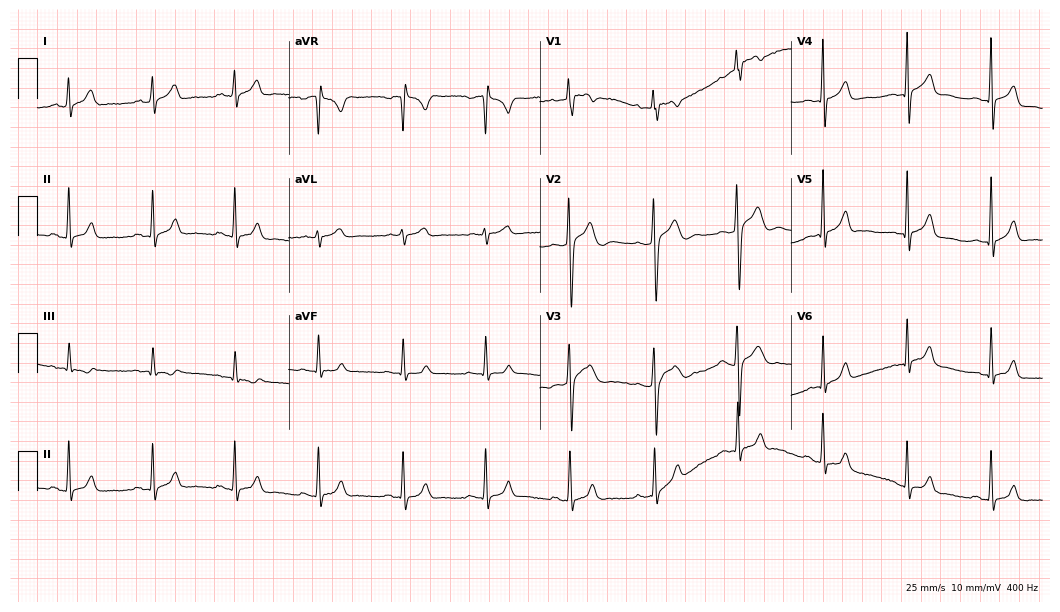
Resting 12-lead electrocardiogram. Patient: a 28-year-old male. Read as a normal ECG.